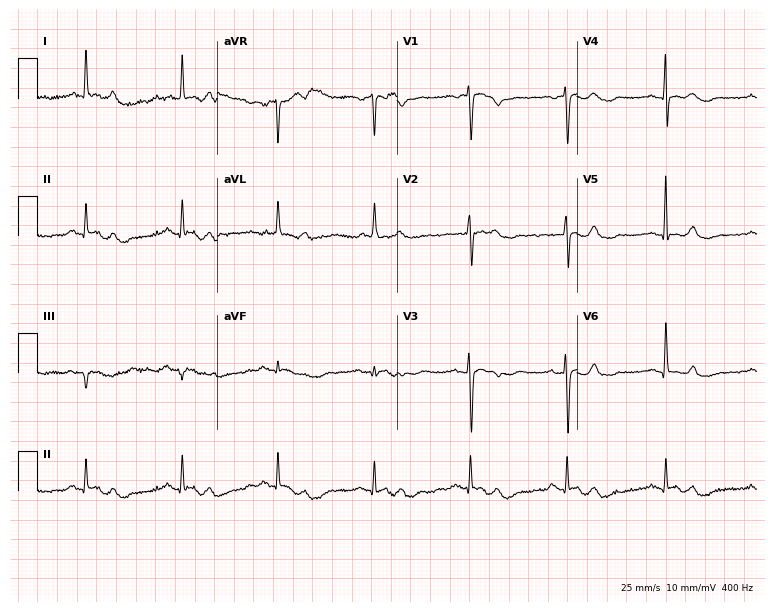
12-lead ECG (7.3-second recording at 400 Hz) from a 74-year-old female. Screened for six findings — first-degree AV block, right bundle branch block, left bundle branch block, sinus bradycardia, atrial fibrillation, sinus tachycardia — none is recorded. Findings outside these six are not listed.